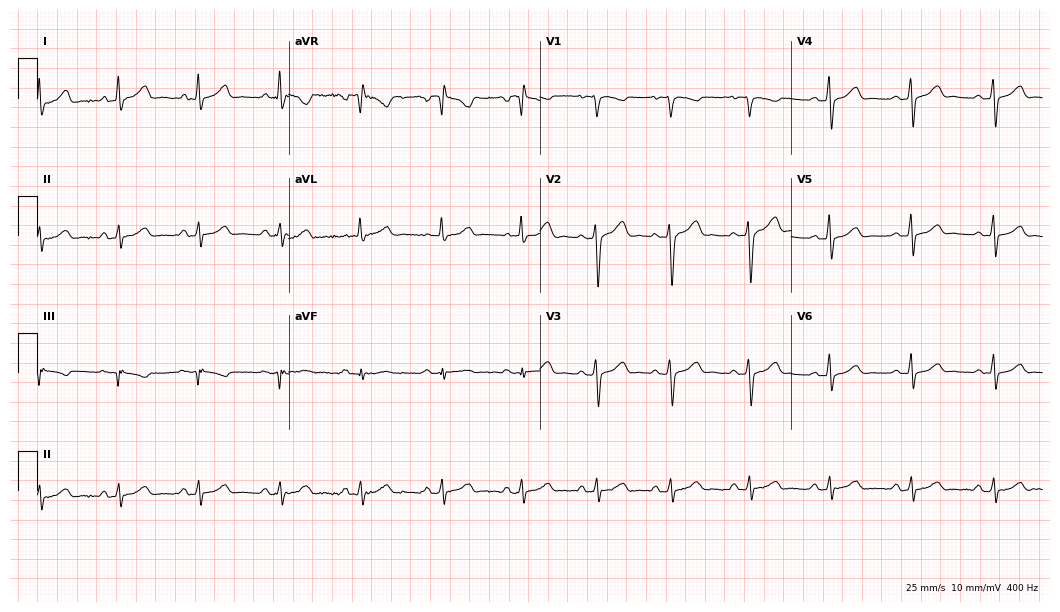
ECG (10.2-second recording at 400 Hz) — a female patient, 42 years old. Labelled as a normal ECG.